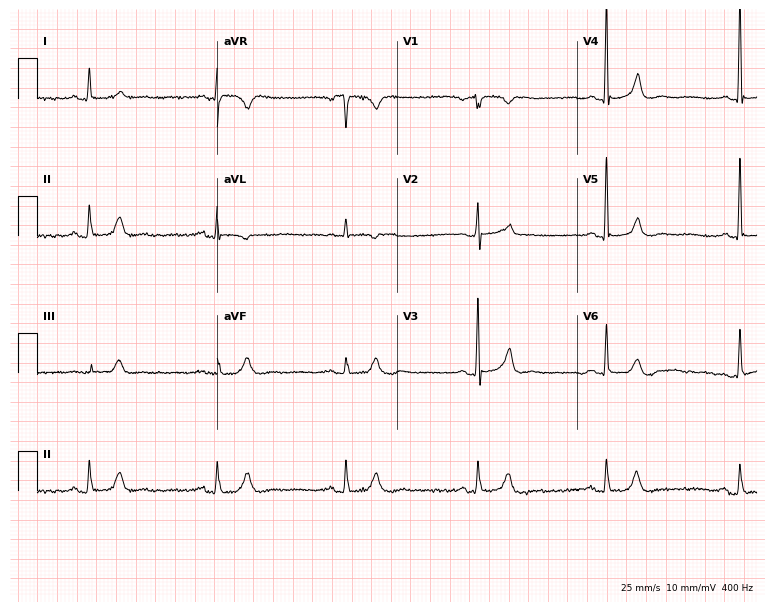
Resting 12-lead electrocardiogram (7.3-second recording at 400 Hz). Patient: a woman, 84 years old. The tracing shows sinus bradycardia (a sinus rate of 50 beats per minute or less).